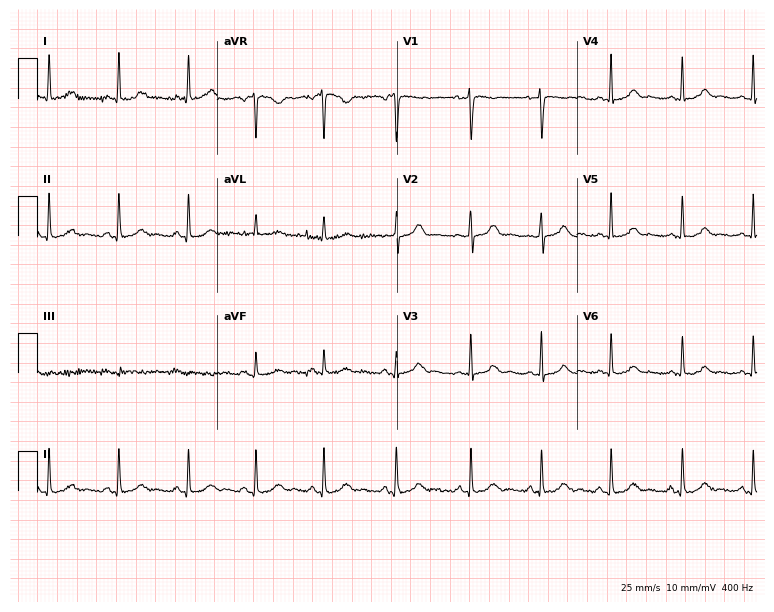
ECG — a woman, 30 years old. Screened for six findings — first-degree AV block, right bundle branch block, left bundle branch block, sinus bradycardia, atrial fibrillation, sinus tachycardia — none is recorded. Only these six findings were labelled.